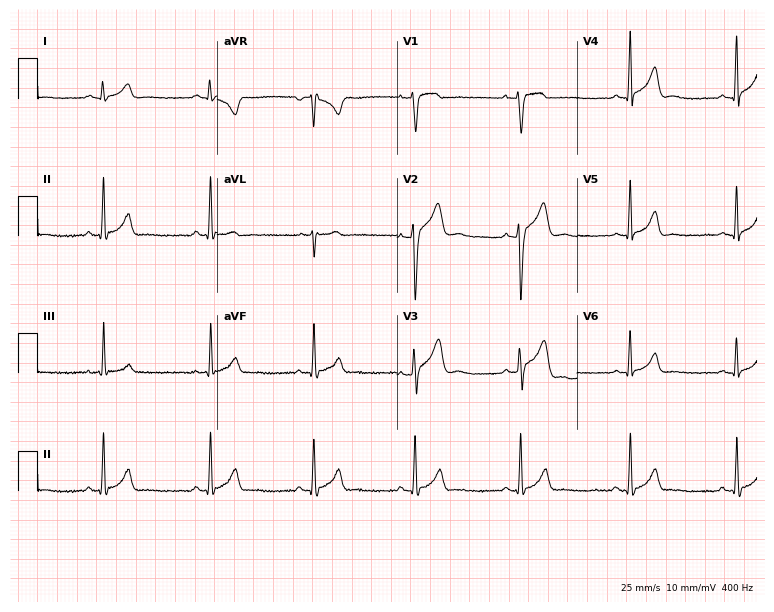
ECG — a 23-year-old male. Labelled as a normal ECG.